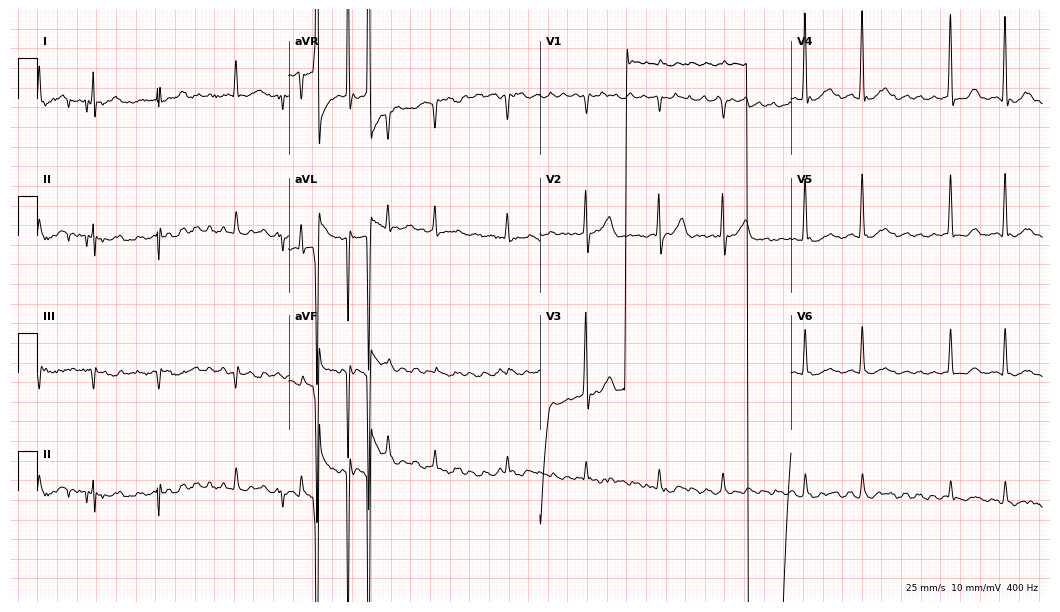
Electrocardiogram, a 71-year-old man. Of the six screened findings (first-degree AV block, right bundle branch block (RBBB), left bundle branch block (LBBB), sinus bradycardia, atrial fibrillation (AF), sinus tachycardia), none is recorded.